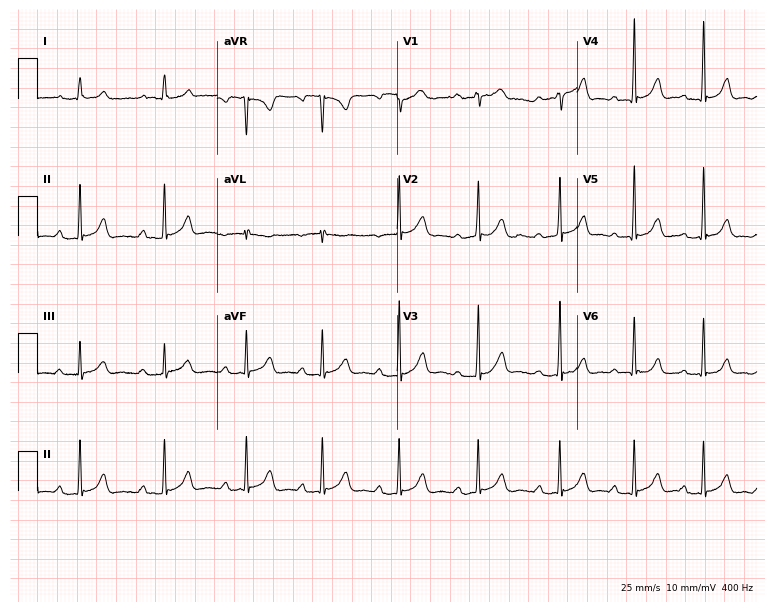
Standard 12-lead ECG recorded from a female, 18 years old (7.3-second recording at 400 Hz). The tracing shows first-degree AV block.